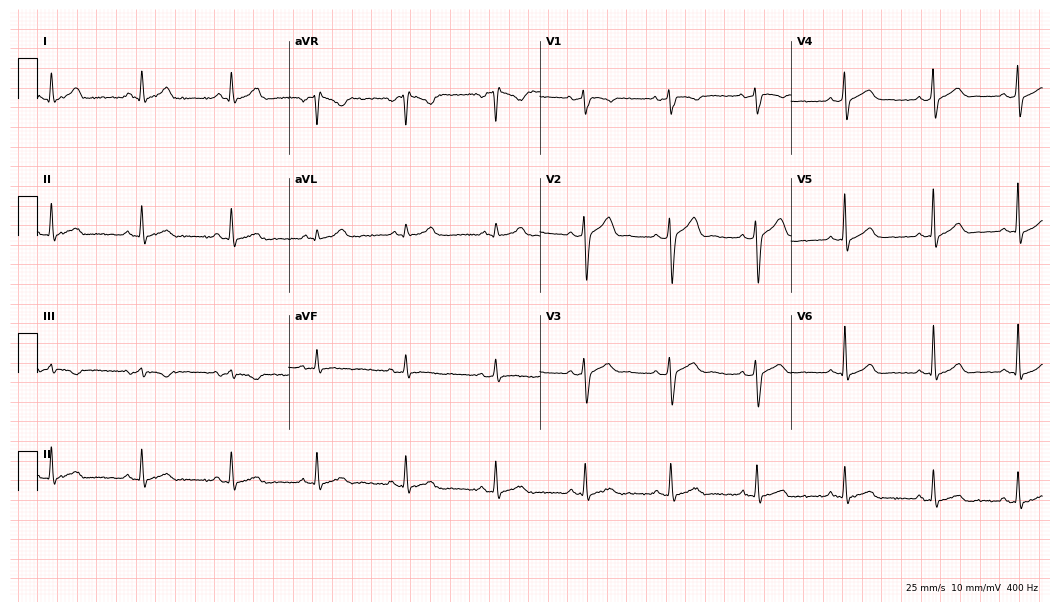
ECG (10.2-second recording at 400 Hz) — a 35-year-old male patient. Labelled as a normal ECG.